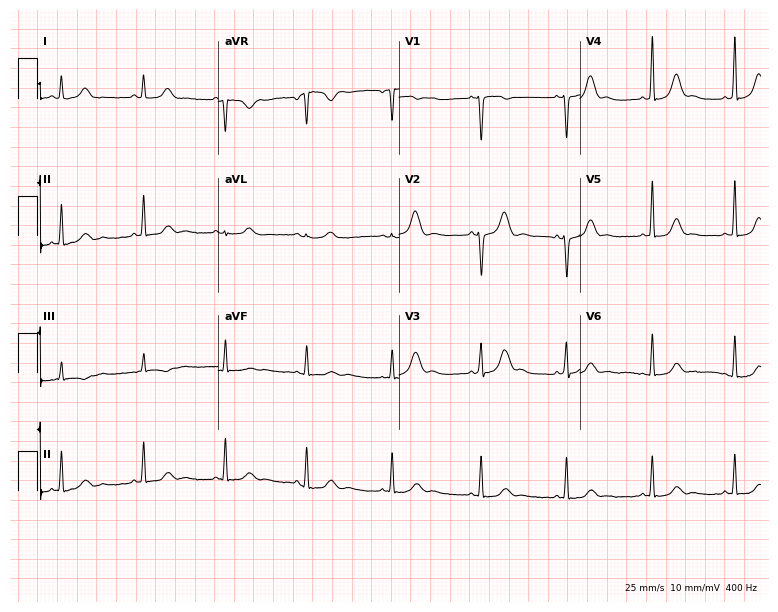
Resting 12-lead electrocardiogram. Patient: a woman, 27 years old. None of these six findings is recorded: first-degree AV block, right bundle branch block, left bundle branch block, sinus bradycardia, atrial fibrillation, sinus tachycardia. Findings outside these six are not listed.